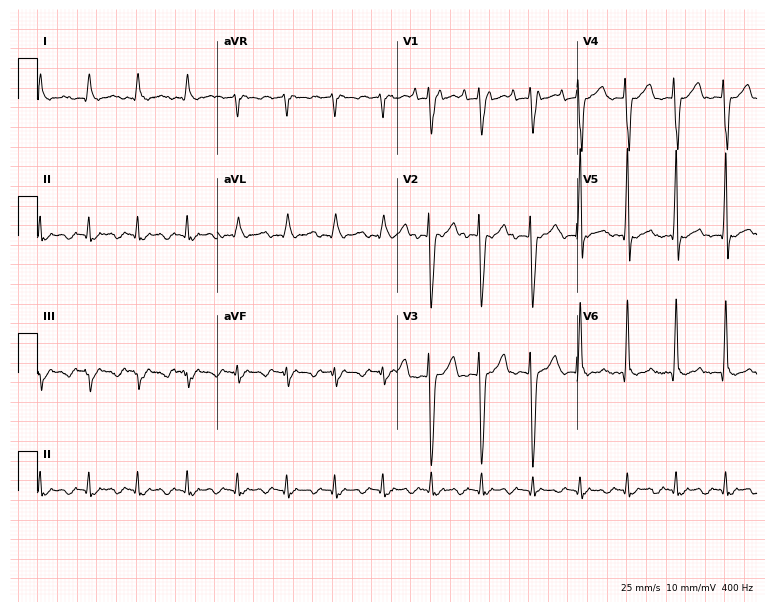
Standard 12-lead ECG recorded from a 54-year-old man (7.3-second recording at 400 Hz). None of these six findings is recorded: first-degree AV block, right bundle branch block (RBBB), left bundle branch block (LBBB), sinus bradycardia, atrial fibrillation (AF), sinus tachycardia. Findings outside these six are not listed.